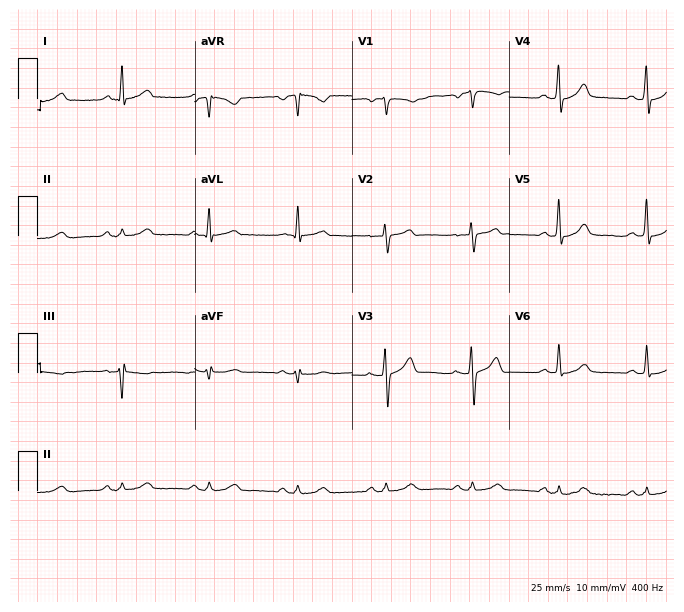
12-lead ECG from a 48-year-old male patient. Screened for six findings — first-degree AV block, right bundle branch block, left bundle branch block, sinus bradycardia, atrial fibrillation, sinus tachycardia — none is recorded.